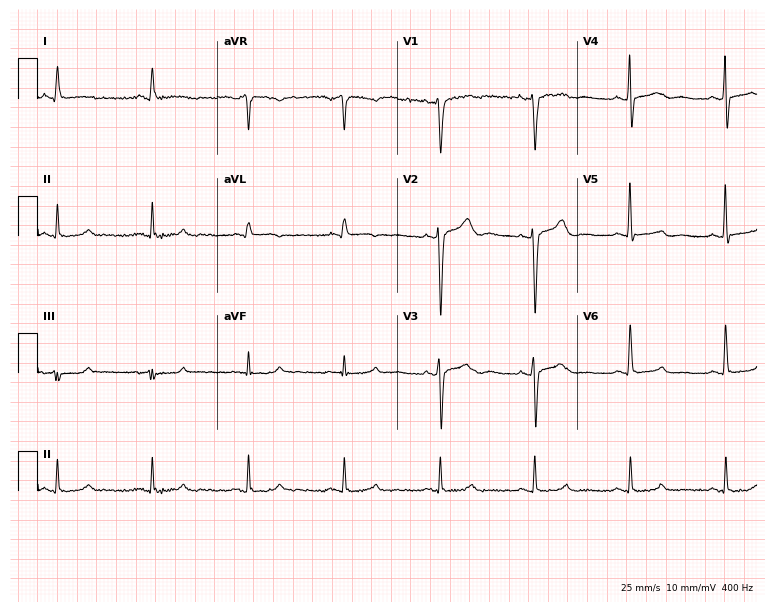
Resting 12-lead electrocardiogram (7.3-second recording at 400 Hz). Patient: a 53-year-old man. None of these six findings is recorded: first-degree AV block, right bundle branch block (RBBB), left bundle branch block (LBBB), sinus bradycardia, atrial fibrillation (AF), sinus tachycardia. Findings outside these six are not listed.